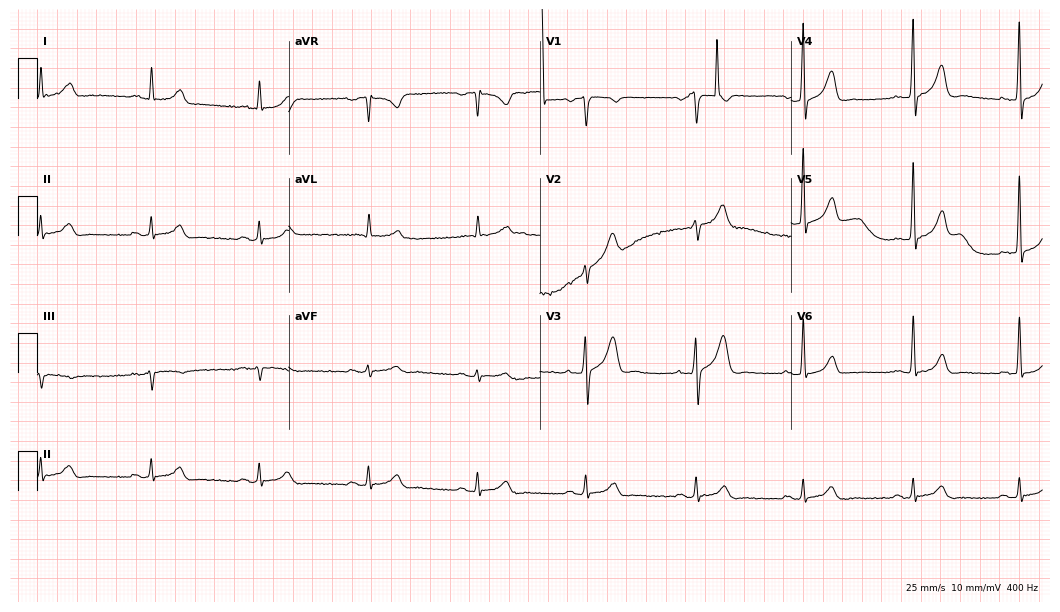
Standard 12-lead ECG recorded from a man, 68 years old. Read as a normal ECG.